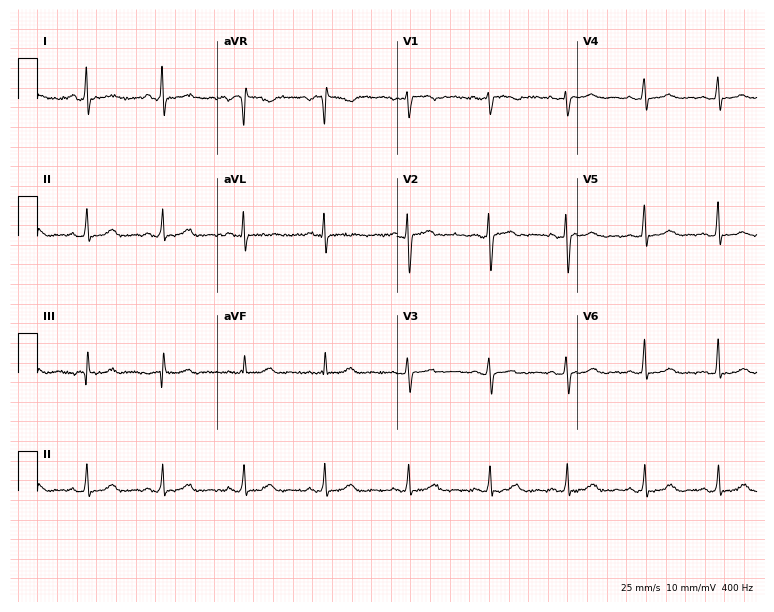
Standard 12-lead ECG recorded from a female patient, 25 years old (7.3-second recording at 400 Hz). Read as a normal ECG.